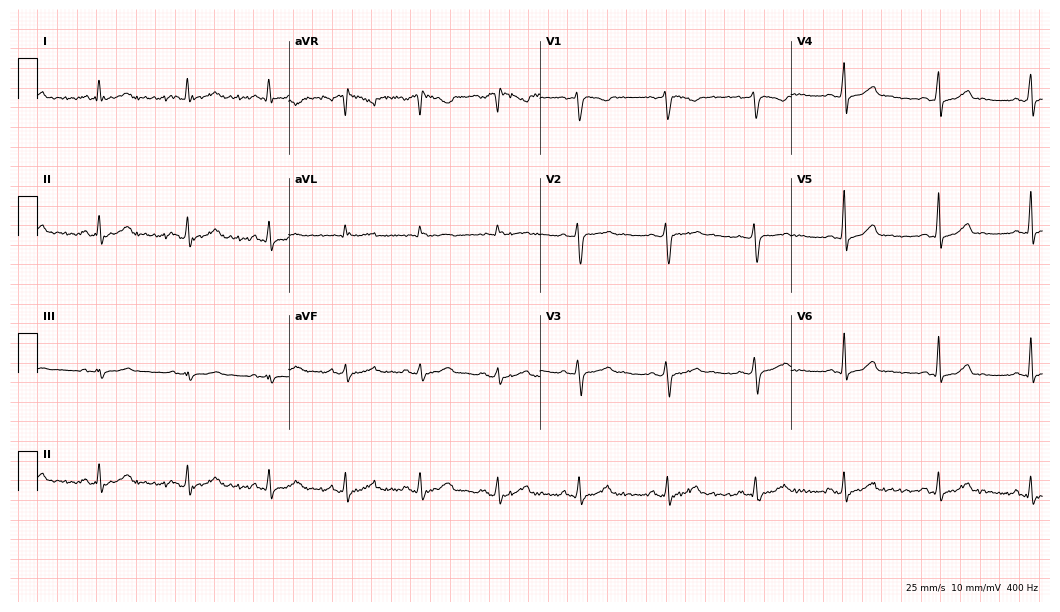
ECG — a female, 28 years old. Labelled as a normal ECG.